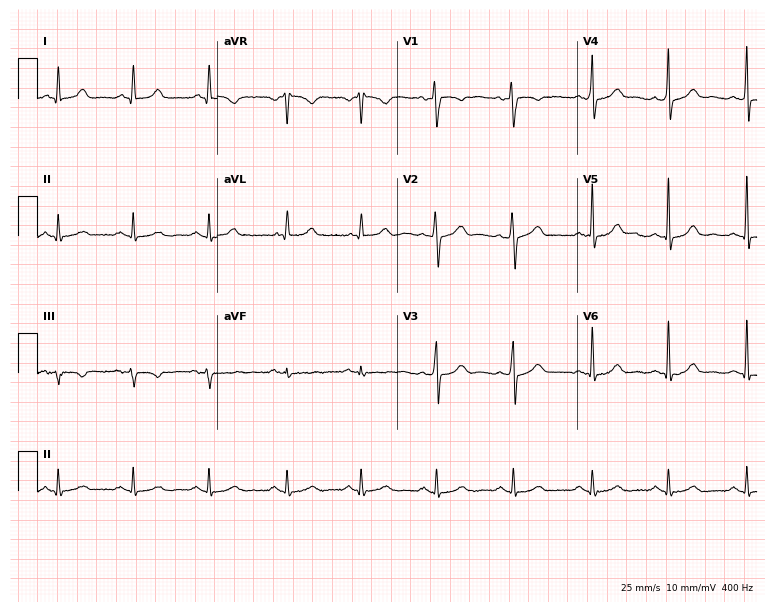
ECG (7.3-second recording at 400 Hz) — a 55-year-old man. Labelled as a normal ECG.